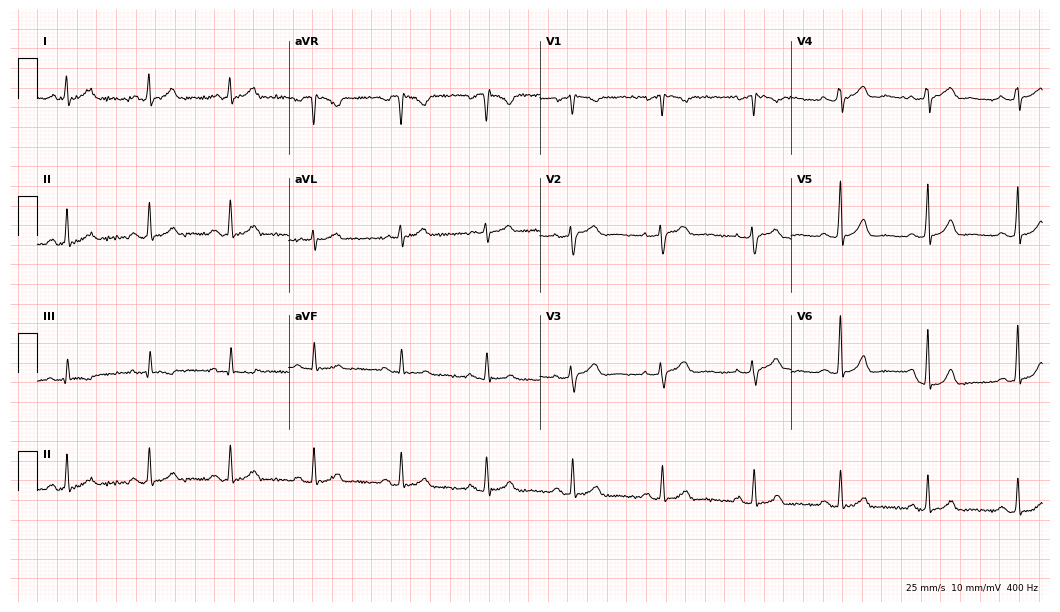
Standard 12-lead ECG recorded from a female, 54 years old (10.2-second recording at 400 Hz). Read as a normal ECG.